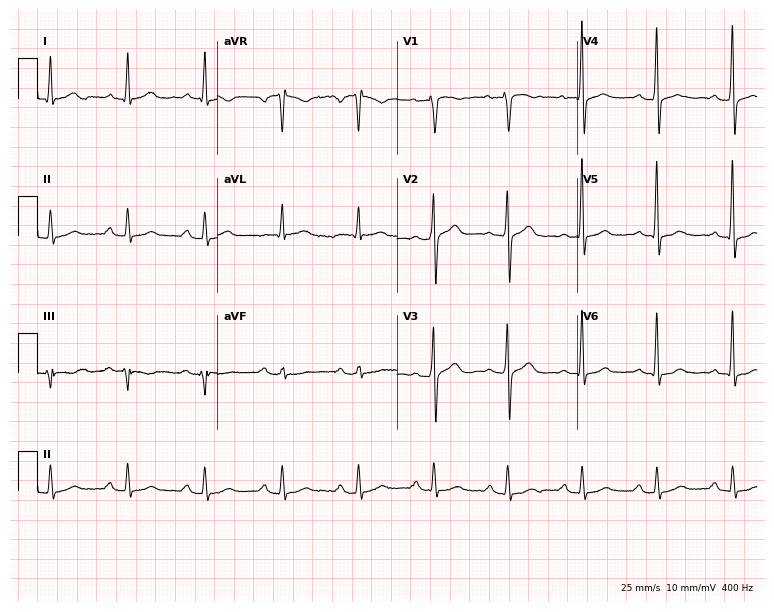
12-lead ECG from a 64-year-old man. No first-degree AV block, right bundle branch block, left bundle branch block, sinus bradycardia, atrial fibrillation or sinus tachycardia recorded for this tracing.